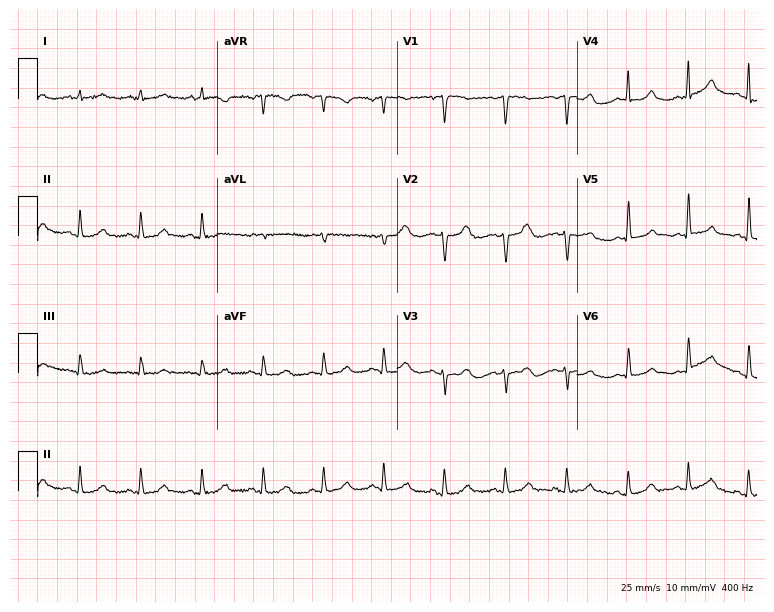
Resting 12-lead electrocardiogram. Patient: a female, 46 years old. None of these six findings is recorded: first-degree AV block, right bundle branch block, left bundle branch block, sinus bradycardia, atrial fibrillation, sinus tachycardia.